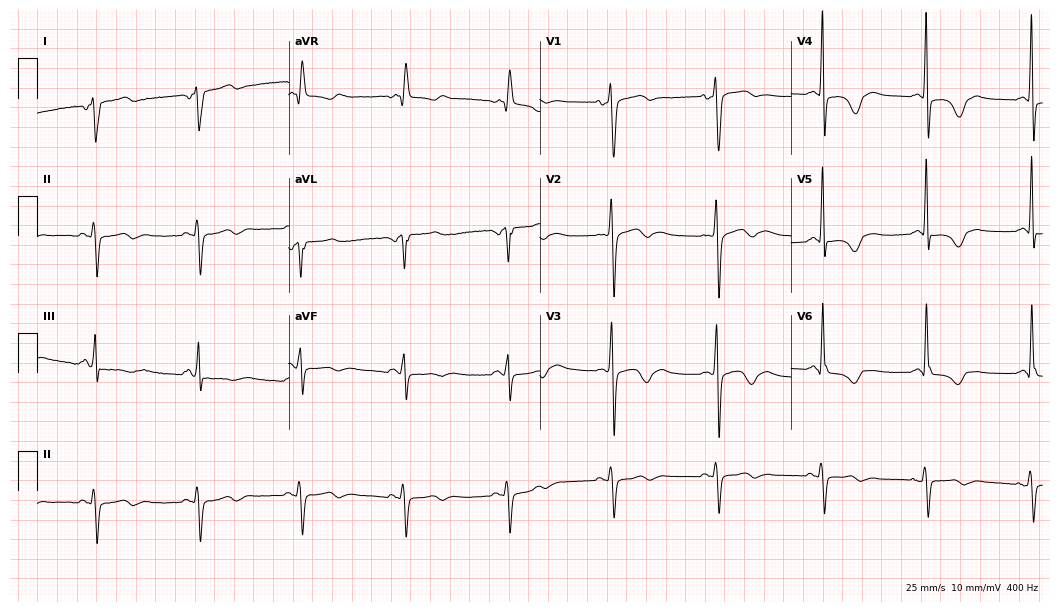
Standard 12-lead ECG recorded from a 63-year-old woman (10.2-second recording at 400 Hz). None of these six findings is recorded: first-degree AV block, right bundle branch block, left bundle branch block, sinus bradycardia, atrial fibrillation, sinus tachycardia. Only these six findings were labelled.